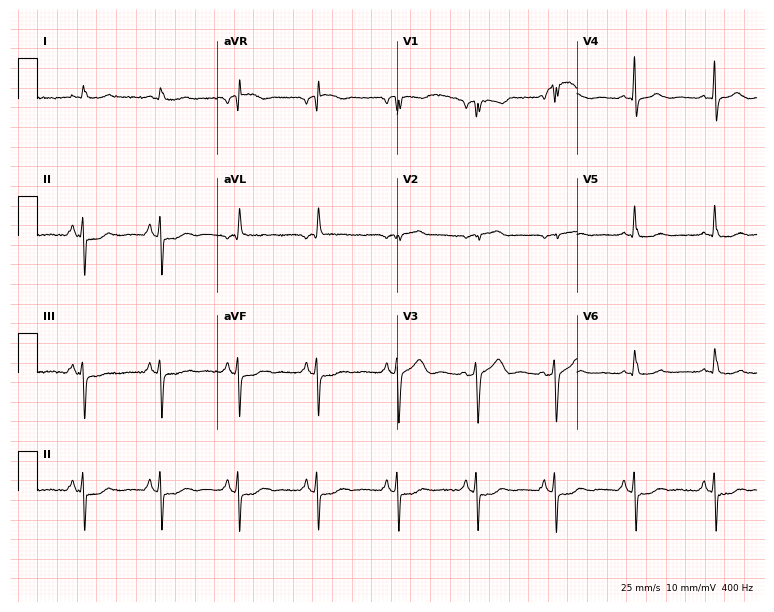
Electrocardiogram (7.3-second recording at 400 Hz), a male patient, 79 years old. Of the six screened findings (first-degree AV block, right bundle branch block, left bundle branch block, sinus bradycardia, atrial fibrillation, sinus tachycardia), none is recorded. Only these six findings were labelled.